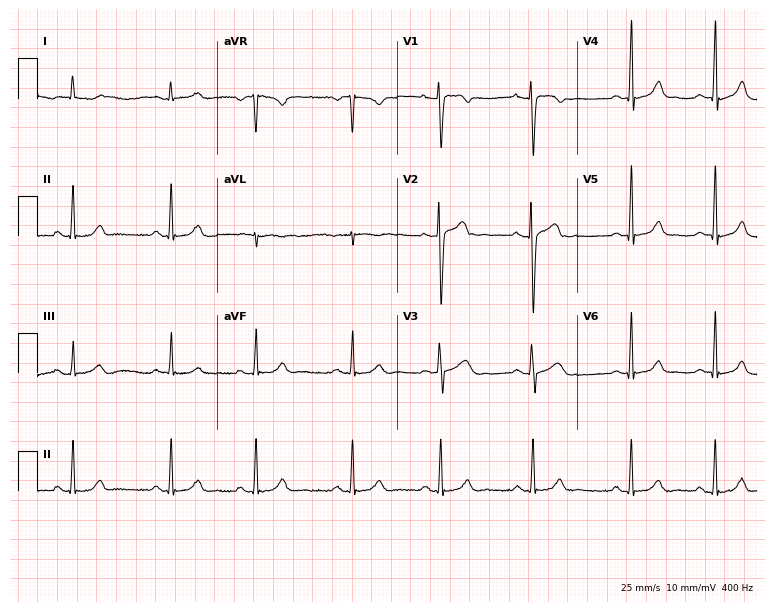
Standard 12-lead ECG recorded from an 18-year-old woman (7.3-second recording at 400 Hz). Read as a normal ECG.